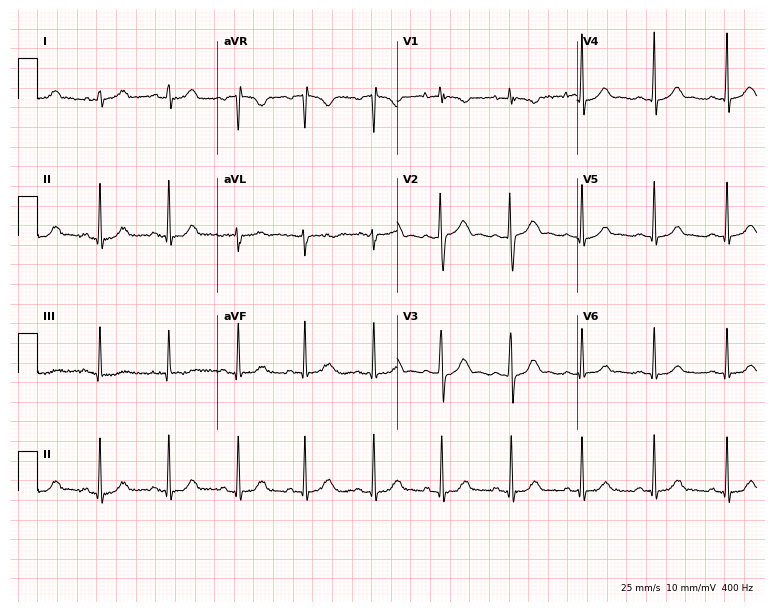
Standard 12-lead ECG recorded from a 20-year-old female patient. Read as a normal ECG.